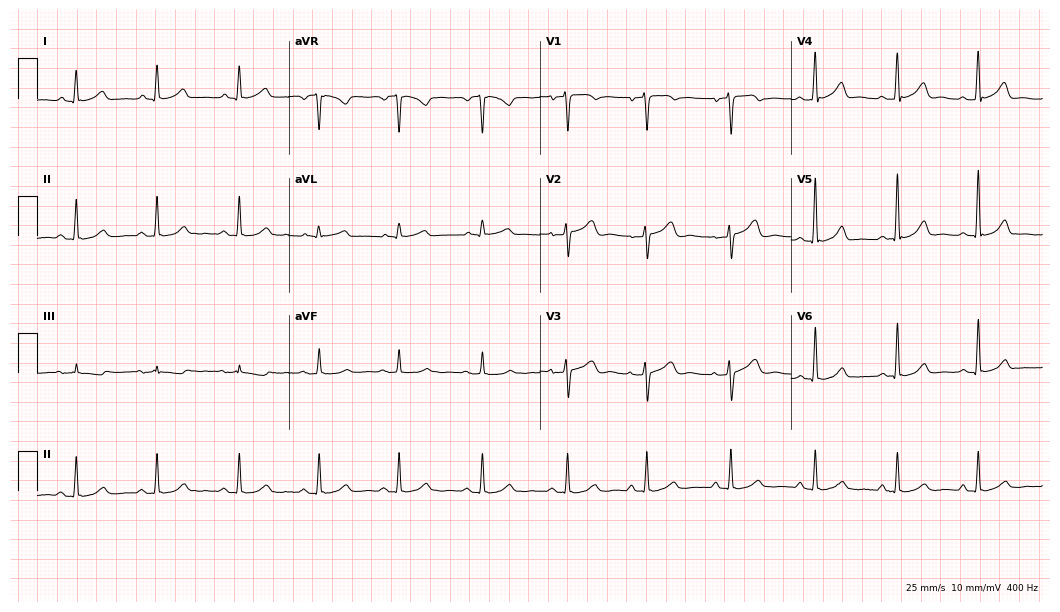
12-lead ECG from a female, 45 years old. Recorded interpretation: within normal limits.